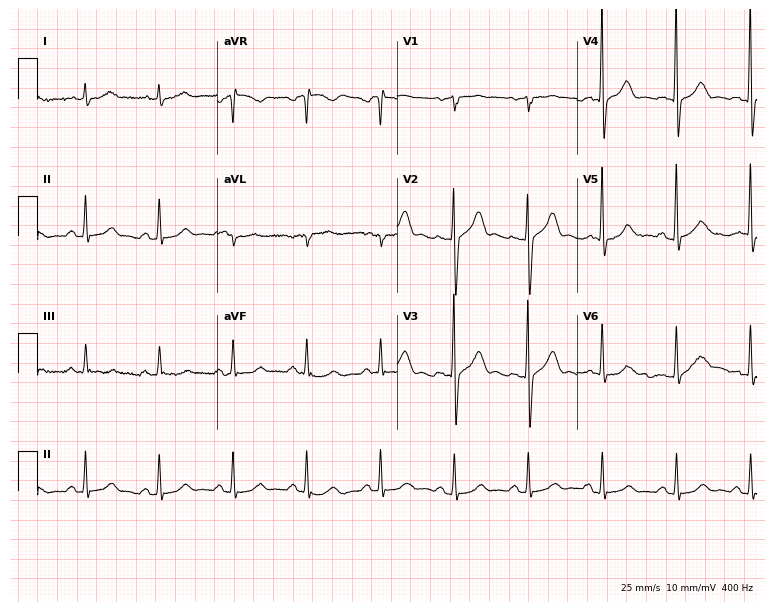
12-lead ECG from a 69-year-old male patient (7.3-second recording at 400 Hz). No first-degree AV block, right bundle branch block, left bundle branch block, sinus bradycardia, atrial fibrillation or sinus tachycardia recorded for this tracing.